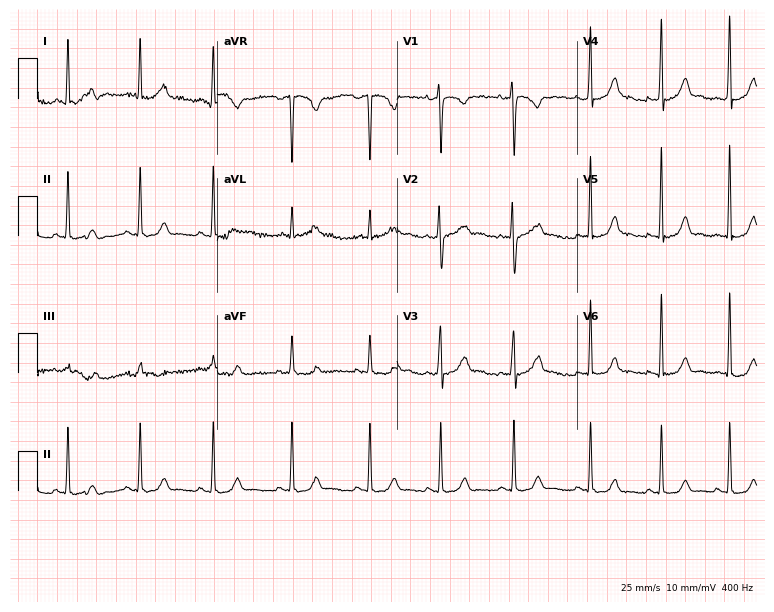
12-lead ECG from a 29-year-old female. Labelled as a normal ECG.